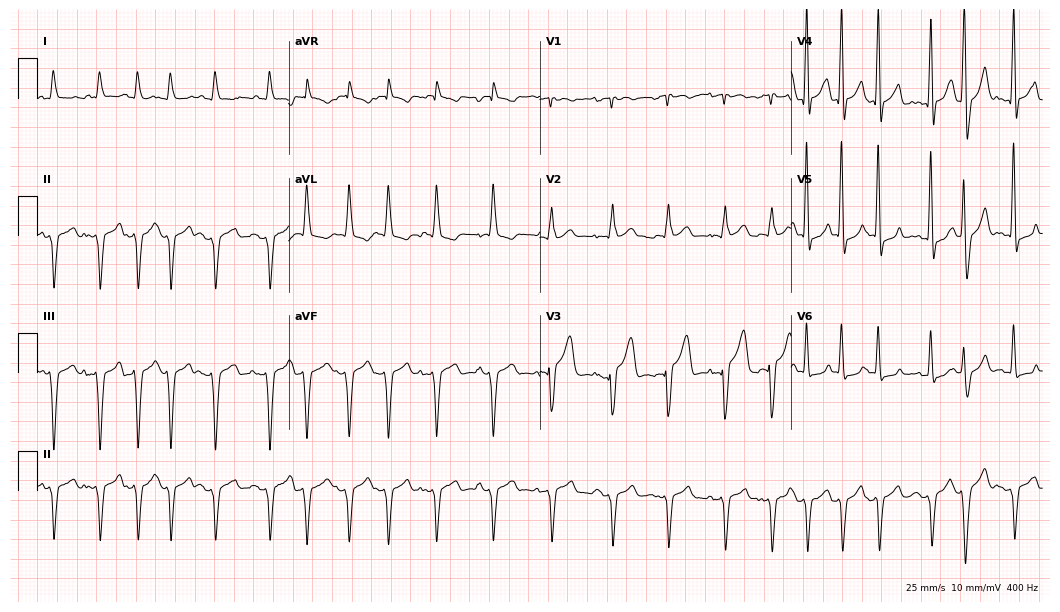
Standard 12-lead ECG recorded from a male patient, 72 years old. None of these six findings is recorded: first-degree AV block, right bundle branch block, left bundle branch block, sinus bradycardia, atrial fibrillation, sinus tachycardia.